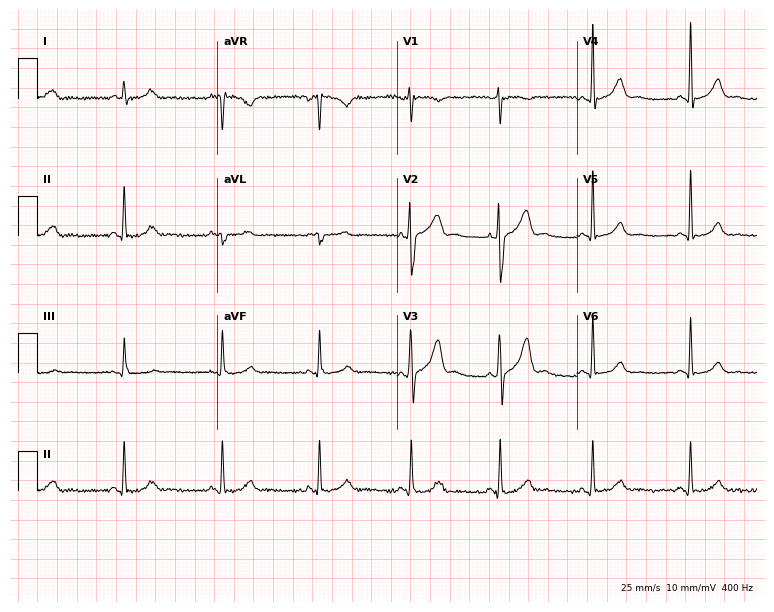
Resting 12-lead electrocardiogram. Patient: a male, 36 years old. None of these six findings is recorded: first-degree AV block, right bundle branch block (RBBB), left bundle branch block (LBBB), sinus bradycardia, atrial fibrillation (AF), sinus tachycardia.